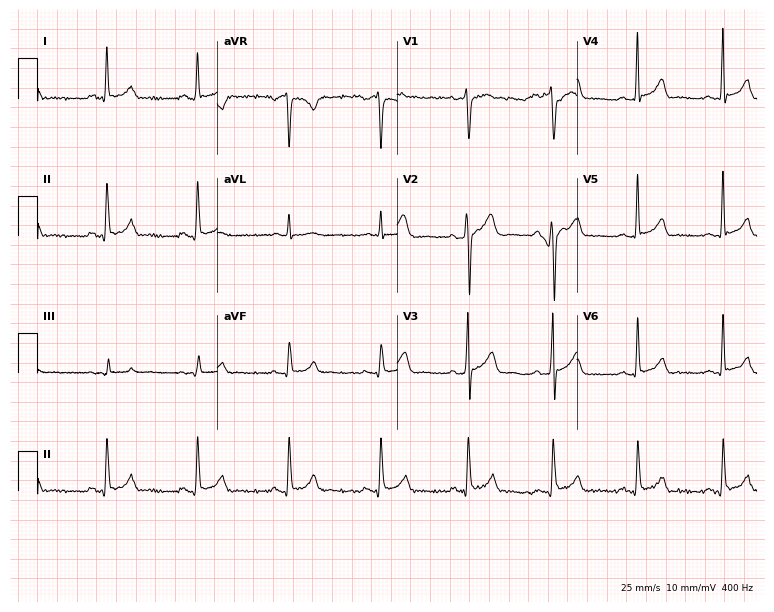
Resting 12-lead electrocardiogram (7.3-second recording at 400 Hz). Patient: a male, 41 years old. Read as a normal ECG.